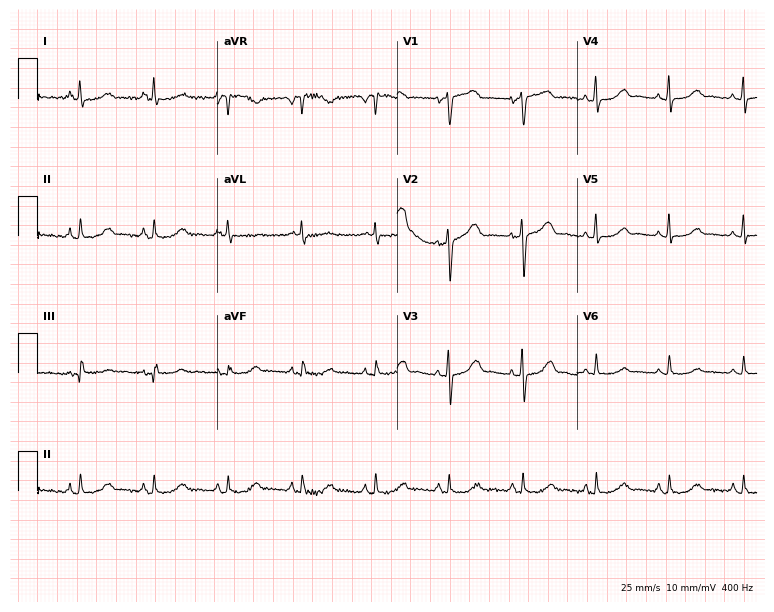
Resting 12-lead electrocardiogram. Patient: a 63-year-old female. Read as a normal ECG.